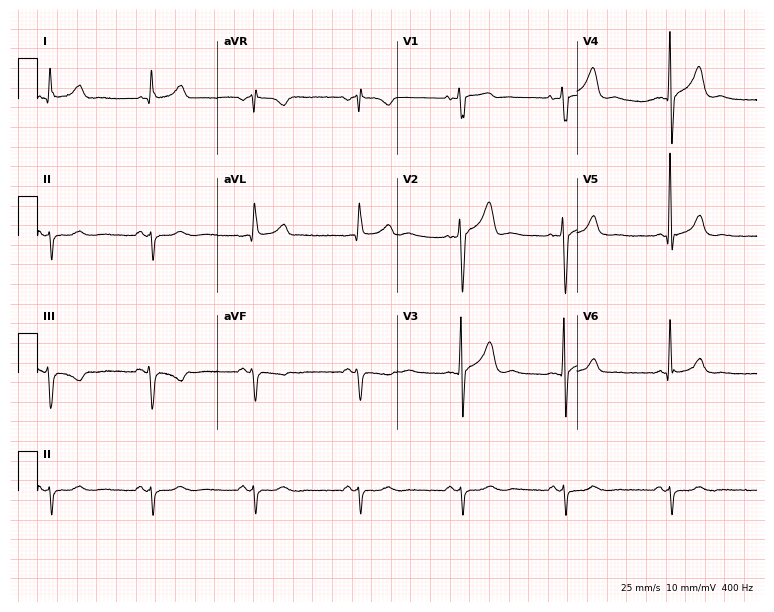
Standard 12-lead ECG recorded from a 51-year-old man (7.3-second recording at 400 Hz). None of these six findings is recorded: first-degree AV block, right bundle branch block (RBBB), left bundle branch block (LBBB), sinus bradycardia, atrial fibrillation (AF), sinus tachycardia. Only these six findings were labelled.